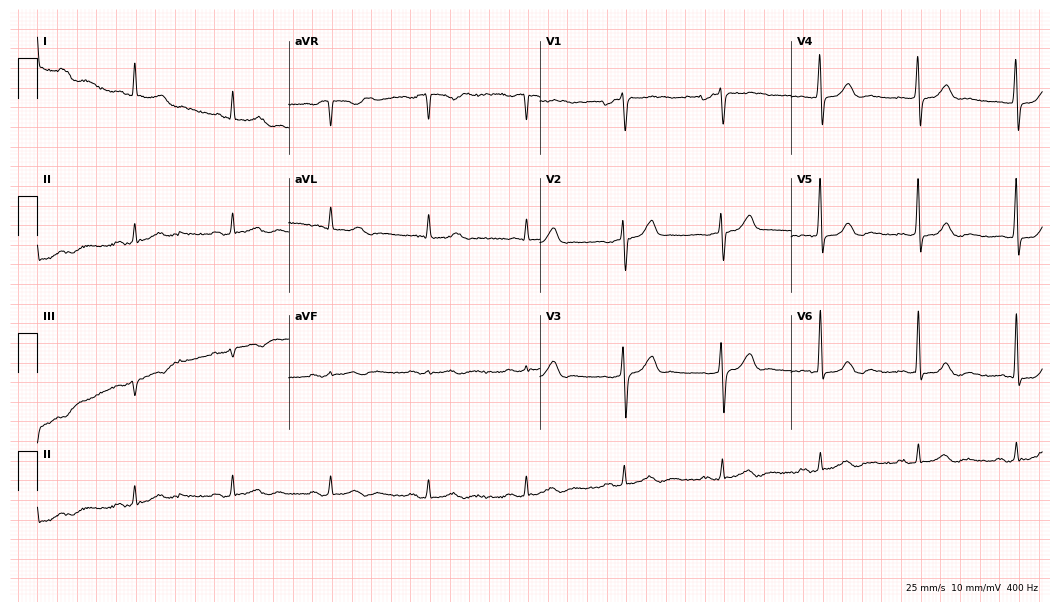
Standard 12-lead ECG recorded from a 55-year-old male. Read as a normal ECG.